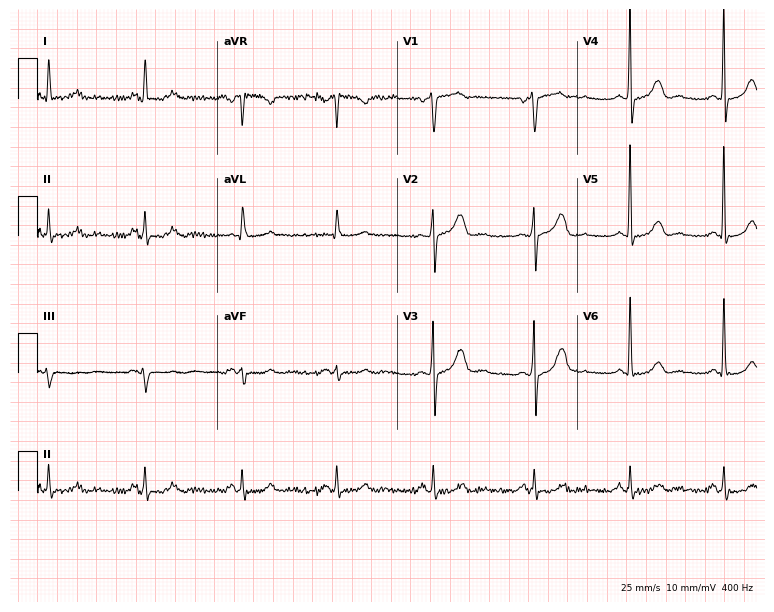
12-lead ECG from a female, 71 years old (7.3-second recording at 400 Hz). No first-degree AV block, right bundle branch block (RBBB), left bundle branch block (LBBB), sinus bradycardia, atrial fibrillation (AF) or sinus tachycardia recorded for this tracing. Findings outside these six are not listed.